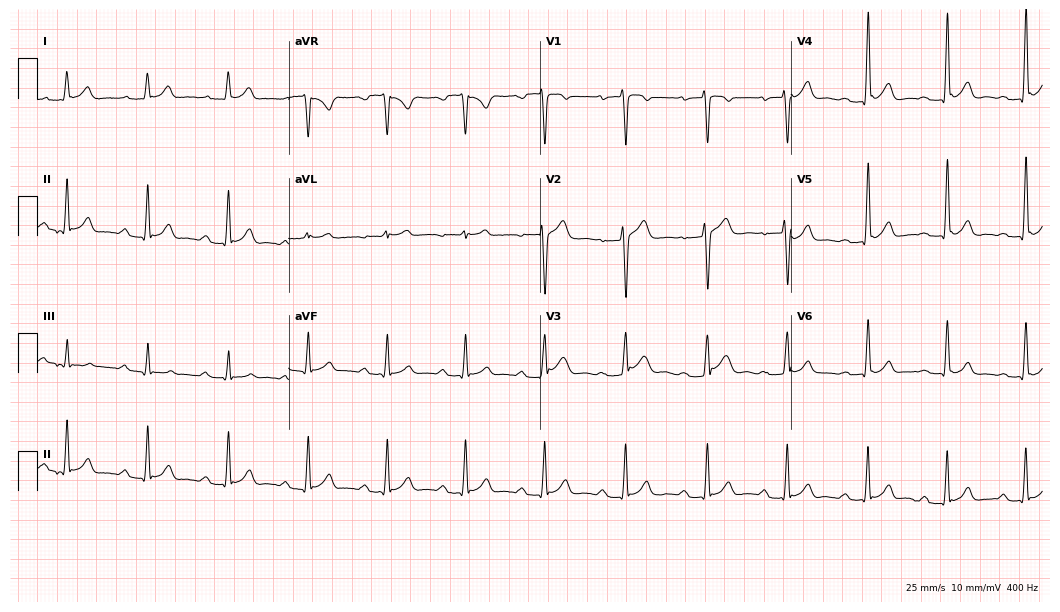
ECG (10.2-second recording at 400 Hz) — a 26-year-old man. Labelled as a normal ECG.